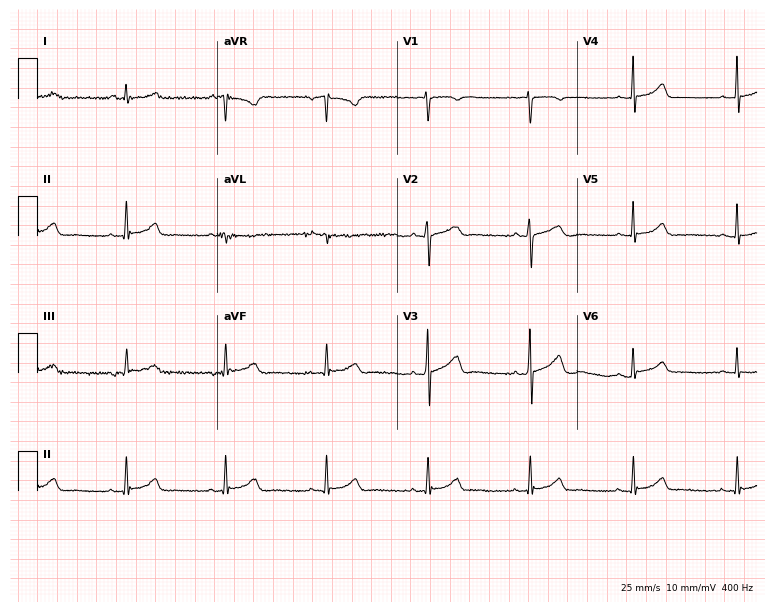
Resting 12-lead electrocardiogram (7.3-second recording at 400 Hz). Patient: a 29-year-old woman. Read as a normal ECG.